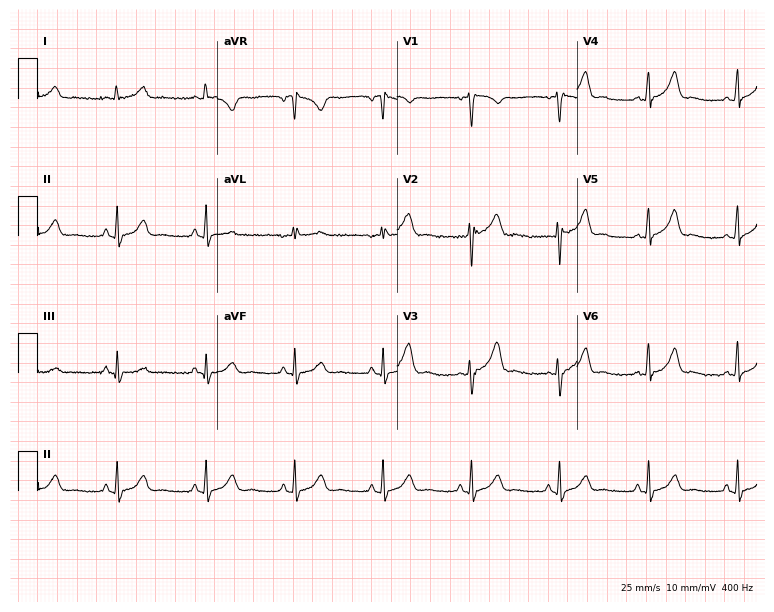
Standard 12-lead ECG recorded from a female, 38 years old (7.3-second recording at 400 Hz). Read as a normal ECG.